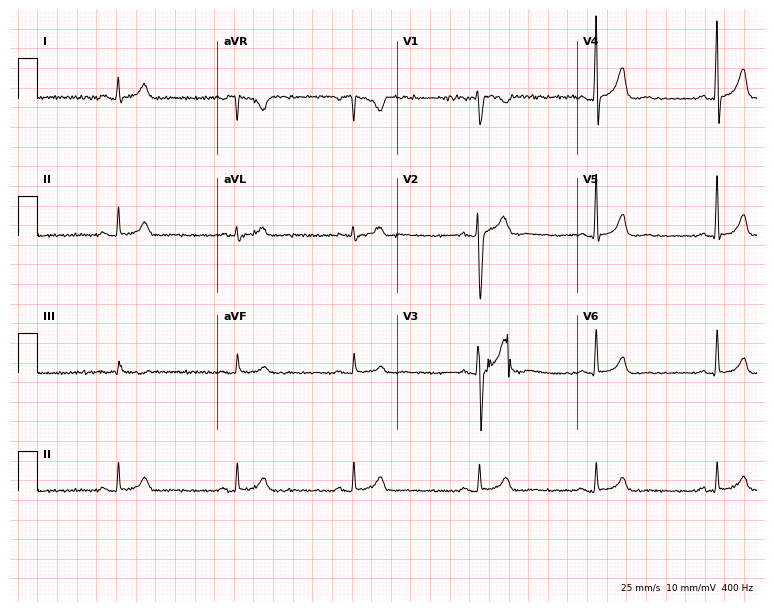
12-lead ECG from a 45-year-old man (7.3-second recording at 400 Hz). Shows sinus bradycardia (a sinus rate of 50 beats per minute or less).